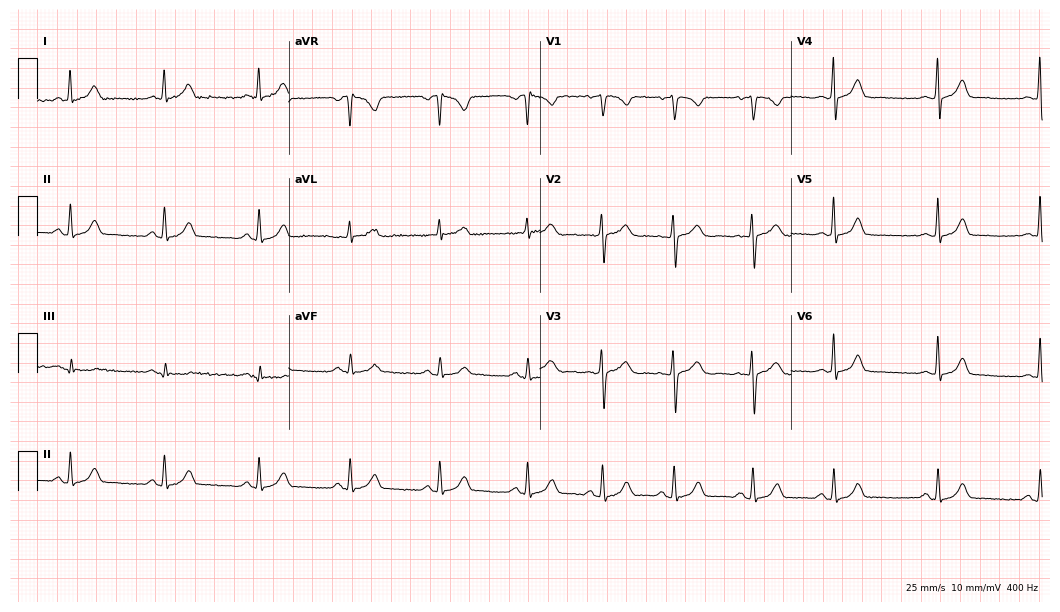
Electrocardiogram (10.2-second recording at 400 Hz), a 36-year-old woman. Of the six screened findings (first-degree AV block, right bundle branch block, left bundle branch block, sinus bradycardia, atrial fibrillation, sinus tachycardia), none is recorded.